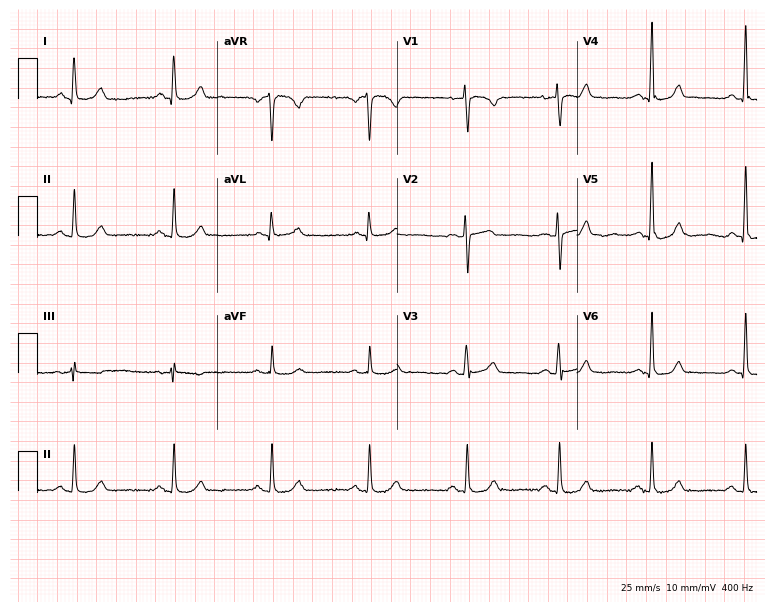
12-lead ECG from a female patient, 54 years old. Recorded interpretation: within normal limits.